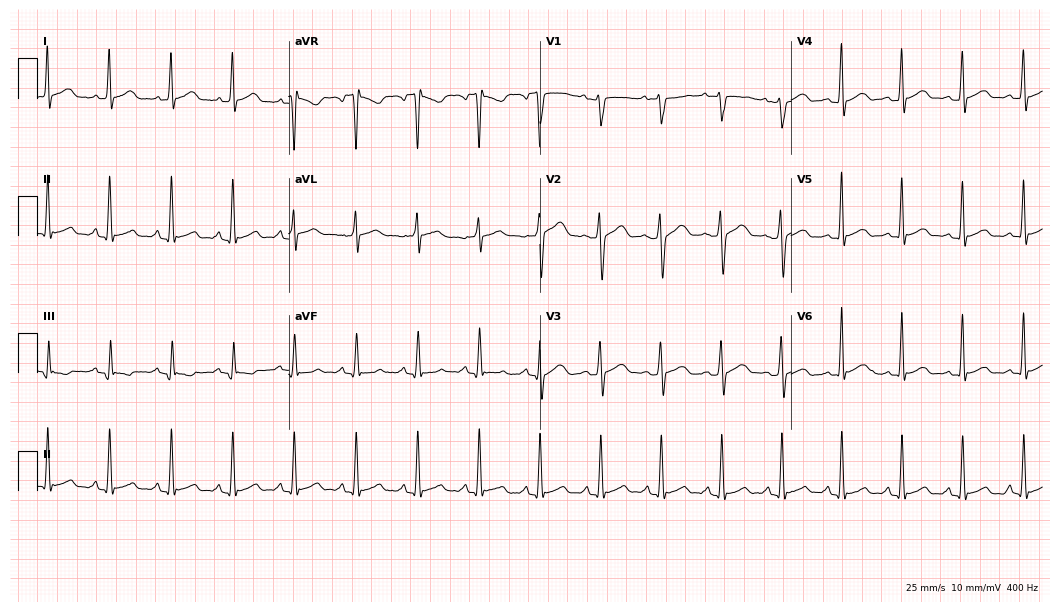
Resting 12-lead electrocardiogram (10.2-second recording at 400 Hz). Patient: a 29-year-old male. Read as a normal ECG.